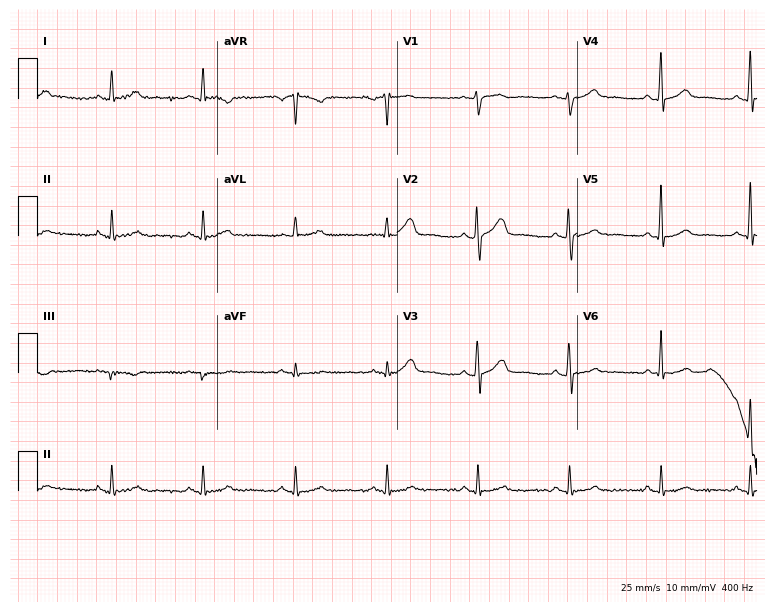
Standard 12-lead ECG recorded from a male, 49 years old. Read as a normal ECG.